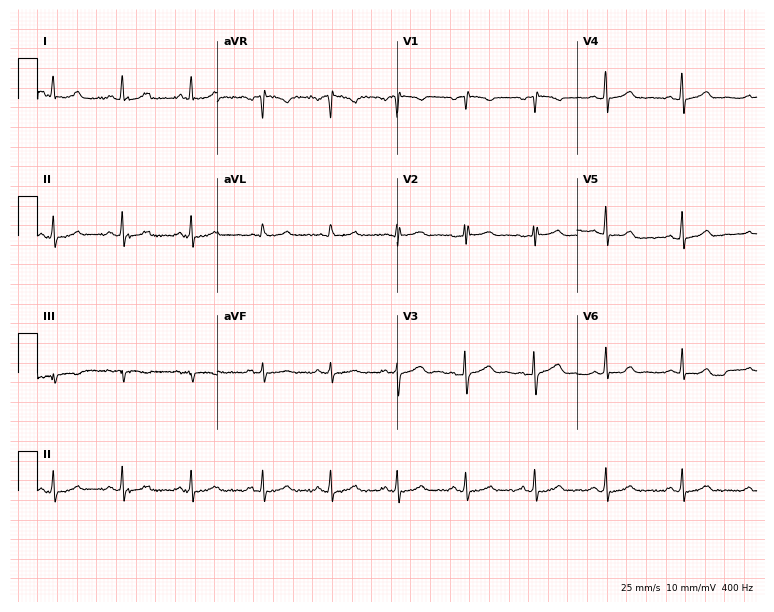
Electrocardiogram, a 29-year-old female. Overall reading on record: normal ECG.